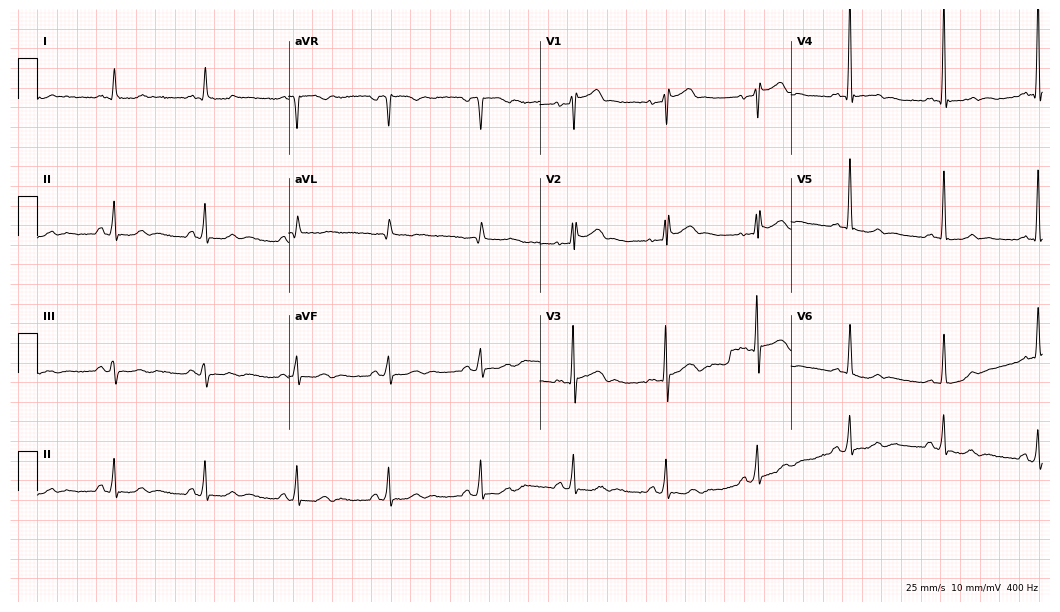
12-lead ECG from a 52-year-old man (10.2-second recording at 400 Hz). No first-degree AV block, right bundle branch block, left bundle branch block, sinus bradycardia, atrial fibrillation or sinus tachycardia recorded for this tracing. Findings outside these six are not listed.